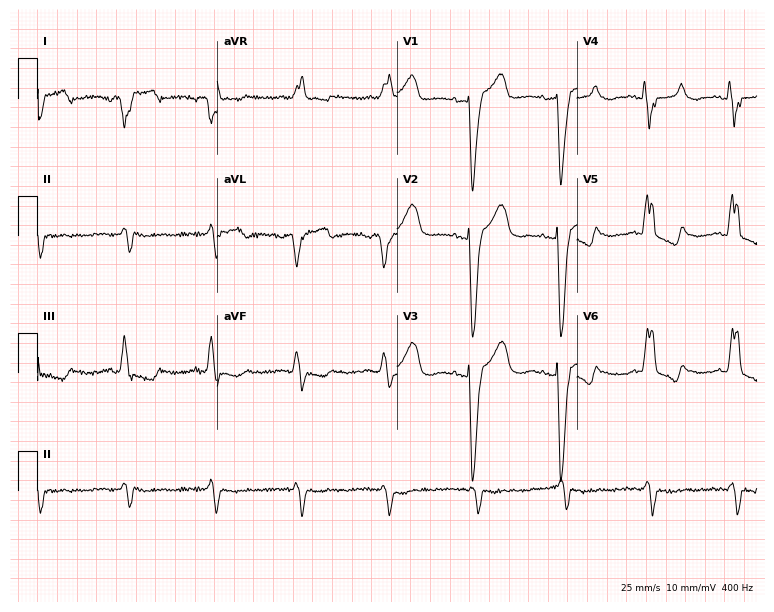
Electrocardiogram, a 58-year-old female. Interpretation includes left bundle branch block.